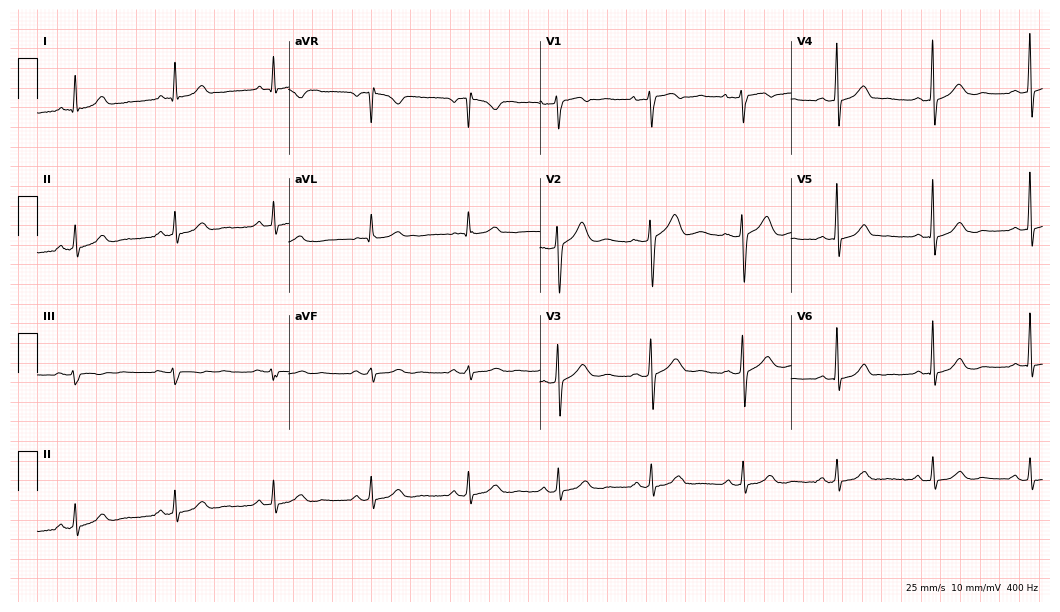
ECG — a woman, 30 years old. Screened for six findings — first-degree AV block, right bundle branch block, left bundle branch block, sinus bradycardia, atrial fibrillation, sinus tachycardia — none is recorded.